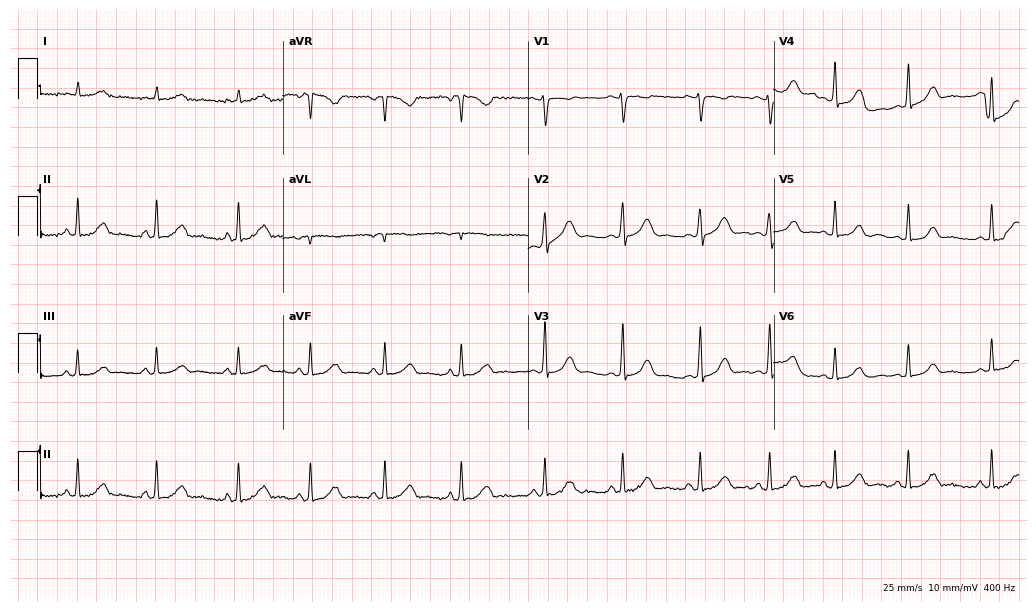
Standard 12-lead ECG recorded from a female patient, 40 years old. None of these six findings is recorded: first-degree AV block, right bundle branch block (RBBB), left bundle branch block (LBBB), sinus bradycardia, atrial fibrillation (AF), sinus tachycardia. Only these six findings were labelled.